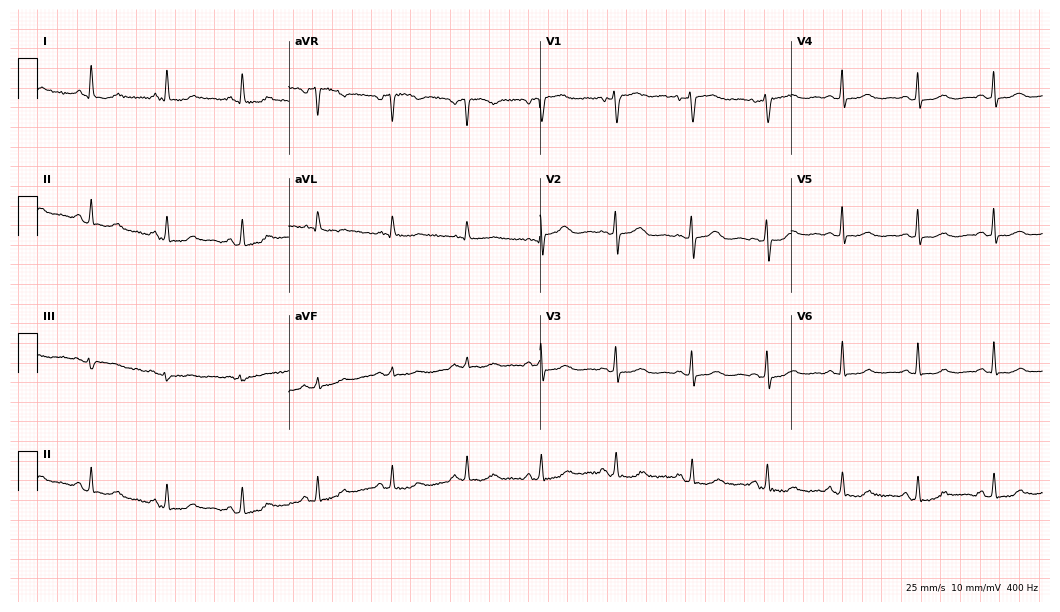
Electrocardiogram (10.2-second recording at 400 Hz), a female, 71 years old. Overall reading on record: normal ECG.